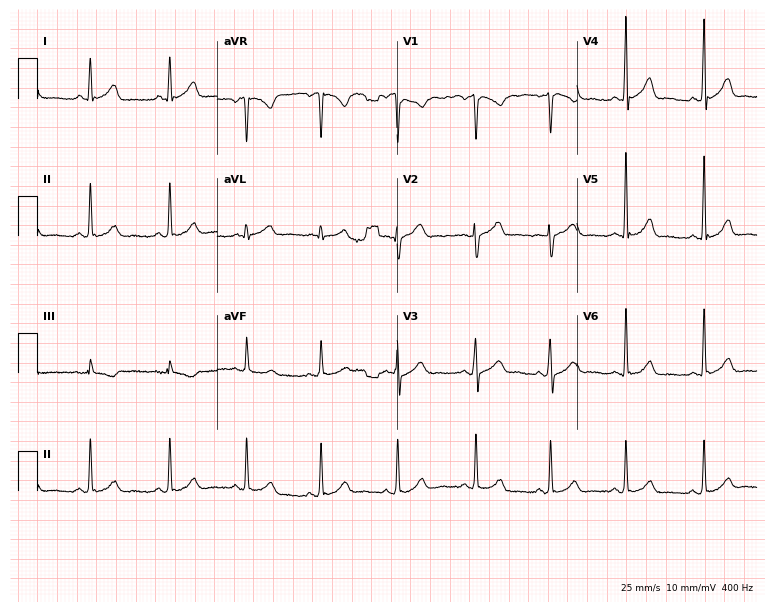
Electrocardiogram, a 35-year-old man. Overall reading on record: normal ECG.